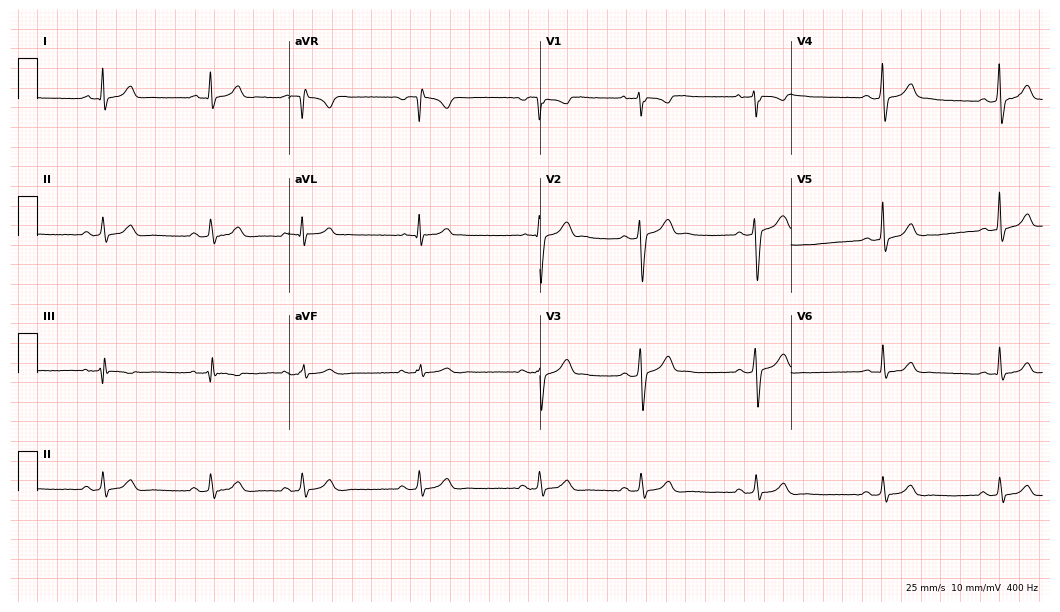
Standard 12-lead ECG recorded from a man, 27 years old. None of these six findings is recorded: first-degree AV block, right bundle branch block (RBBB), left bundle branch block (LBBB), sinus bradycardia, atrial fibrillation (AF), sinus tachycardia. Only these six findings were labelled.